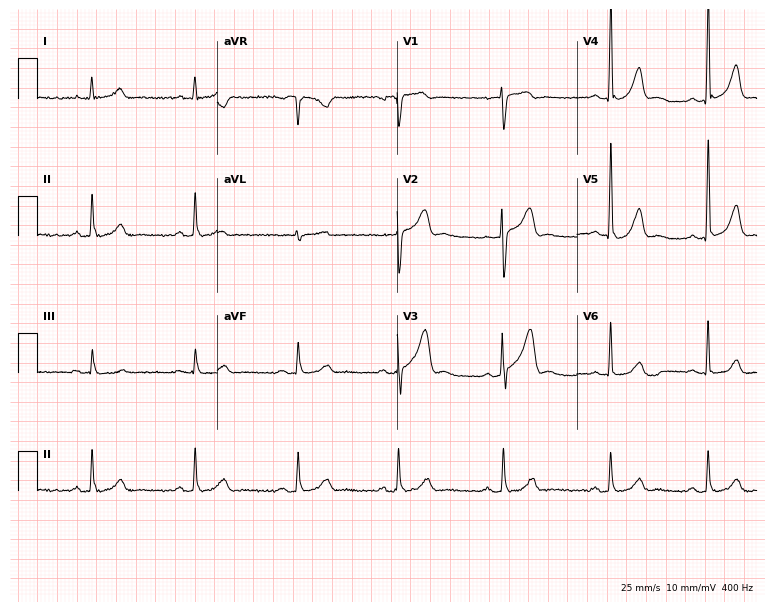
ECG — a male patient, 41 years old. Labelled as a normal ECG.